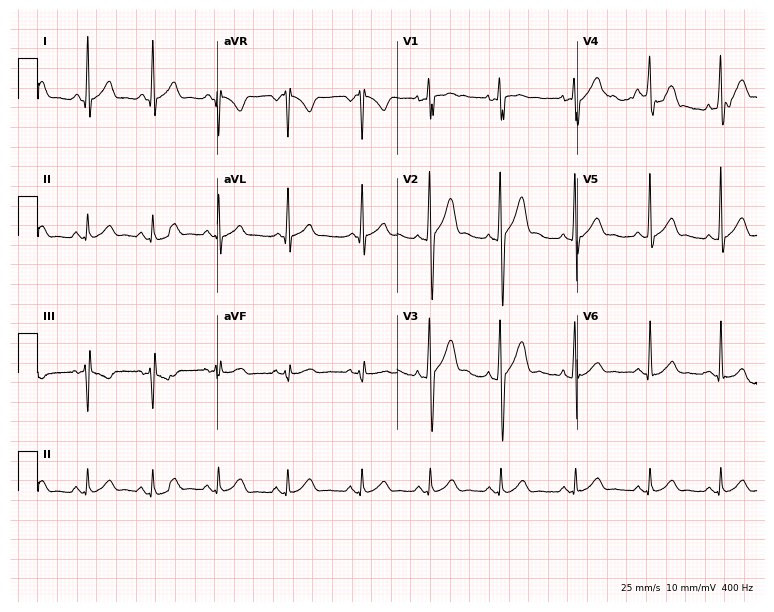
12-lead ECG from a man, 25 years old. Recorded interpretation: within normal limits.